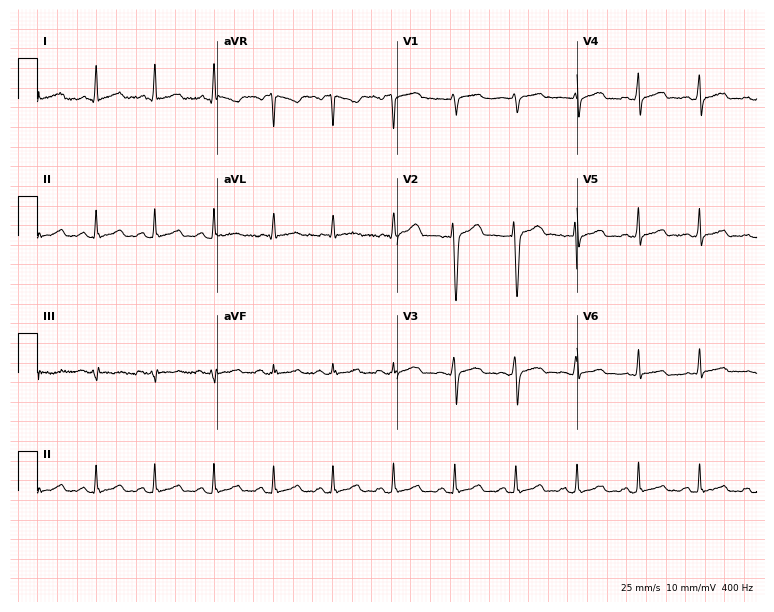
Standard 12-lead ECG recorded from a woman, 29 years old. Read as a normal ECG.